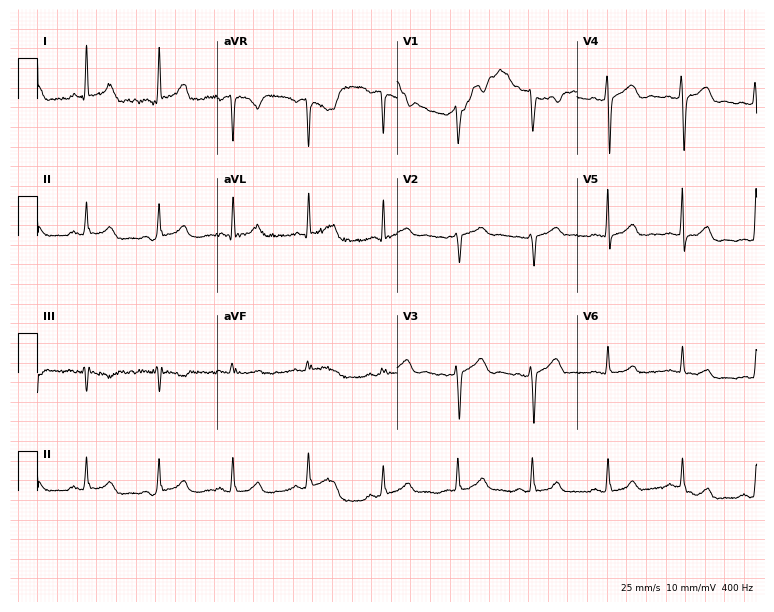
12-lead ECG from a female patient, 24 years old. Recorded interpretation: within normal limits.